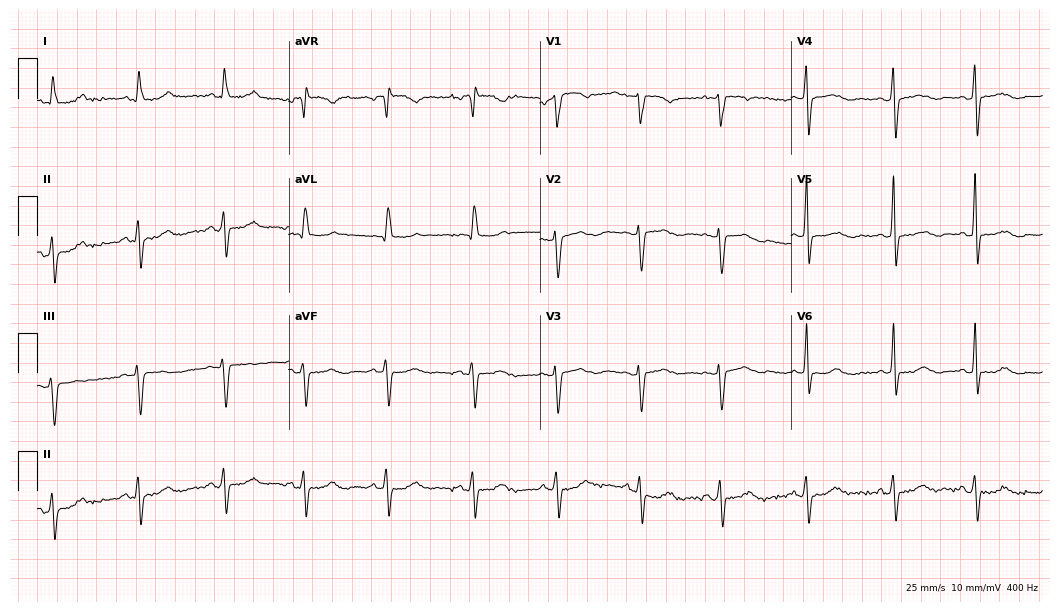
Electrocardiogram, a female, 67 years old. Of the six screened findings (first-degree AV block, right bundle branch block, left bundle branch block, sinus bradycardia, atrial fibrillation, sinus tachycardia), none is recorded.